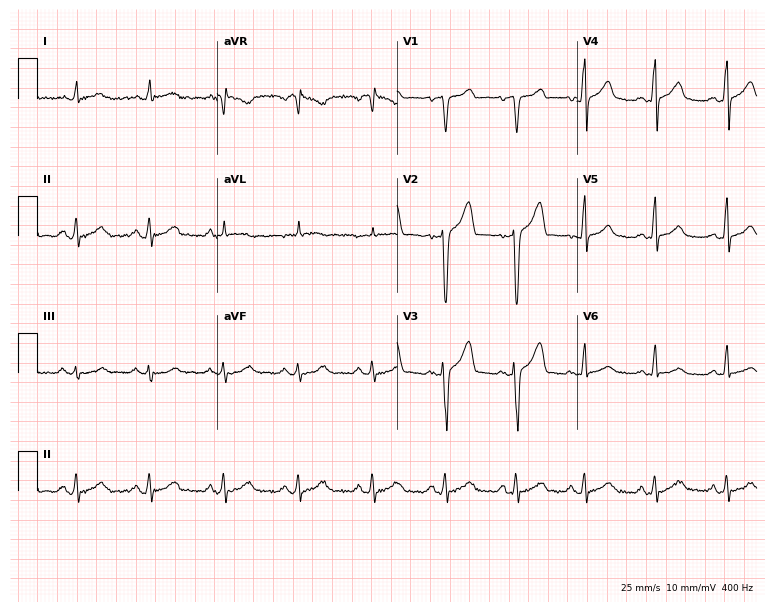
12-lead ECG from a man, 41 years old (7.3-second recording at 400 Hz). Recorded interpretation: within normal limits.